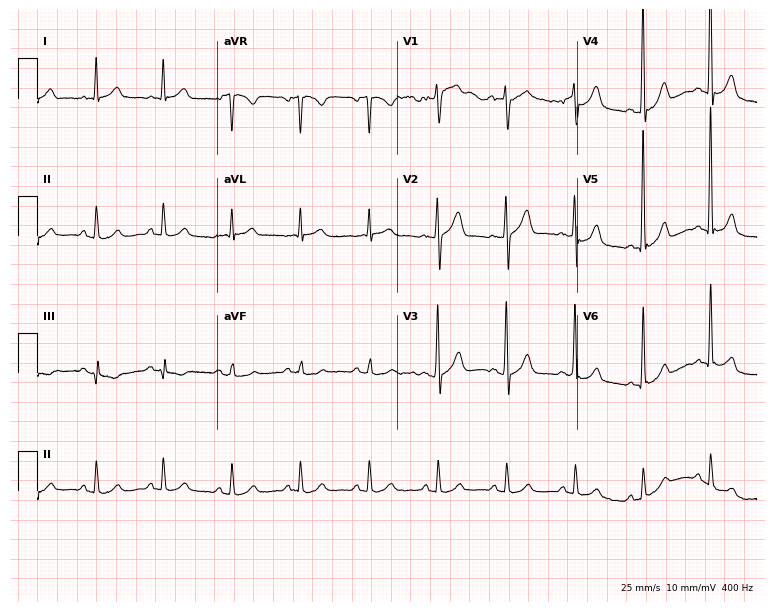
Standard 12-lead ECG recorded from a 63-year-old male patient (7.3-second recording at 400 Hz). None of these six findings is recorded: first-degree AV block, right bundle branch block, left bundle branch block, sinus bradycardia, atrial fibrillation, sinus tachycardia.